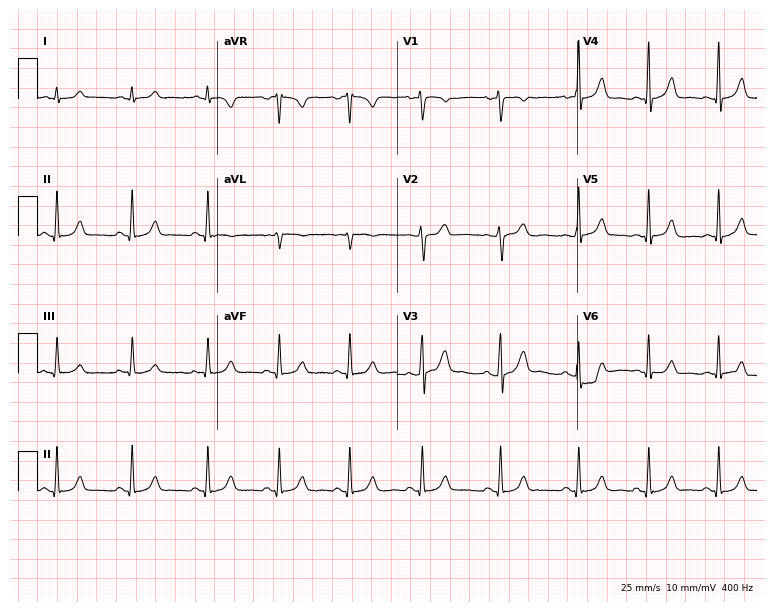
12-lead ECG from a woman, 21 years old. No first-degree AV block, right bundle branch block, left bundle branch block, sinus bradycardia, atrial fibrillation or sinus tachycardia recorded for this tracing.